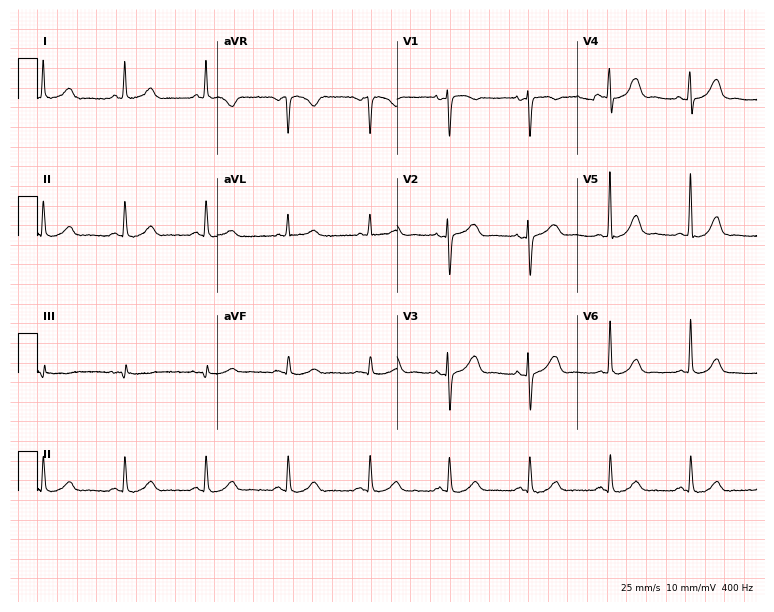
Standard 12-lead ECG recorded from a woman, 61 years old (7.3-second recording at 400 Hz). Read as a normal ECG.